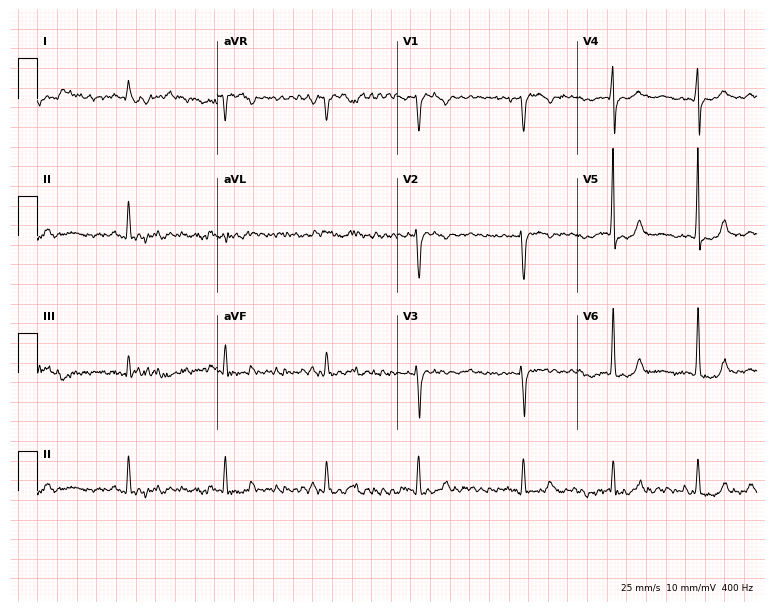
Resting 12-lead electrocardiogram. Patient: a 40-year-old woman. None of these six findings is recorded: first-degree AV block, right bundle branch block, left bundle branch block, sinus bradycardia, atrial fibrillation, sinus tachycardia. Other findings, if any, are not listed.